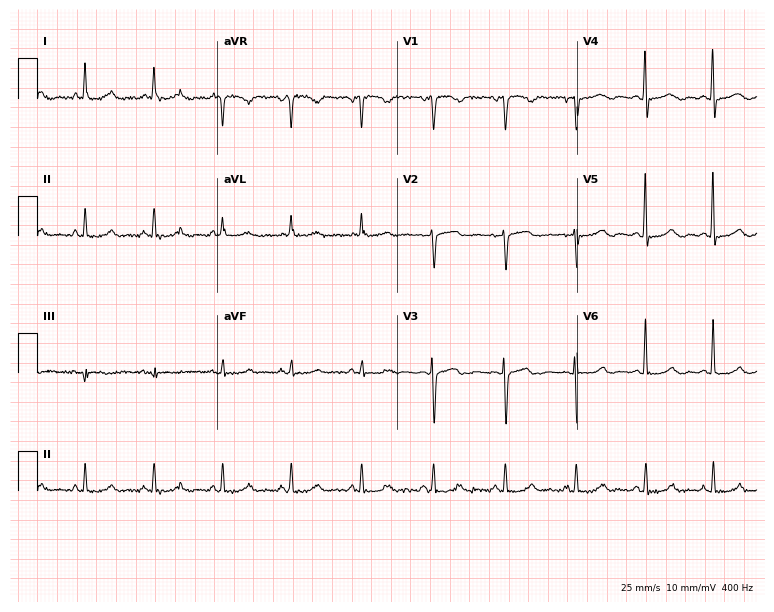
Resting 12-lead electrocardiogram (7.3-second recording at 400 Hz). Patient: a 57-year-old female. Read as a normal ECG.